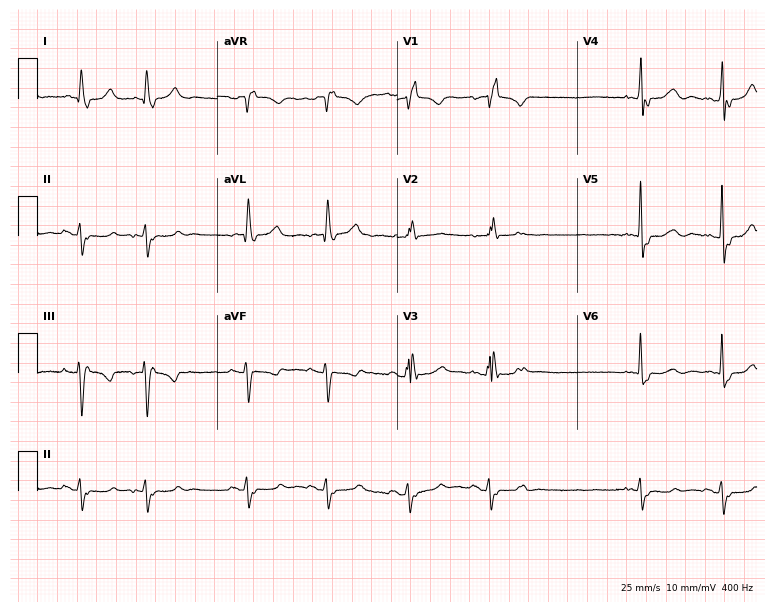
Resting 12-lead electrocardiogram (7.3-second recording at 400 Hz). Patient: a male, 71 years old. The tracing shows right bundle branch block (RBBB).